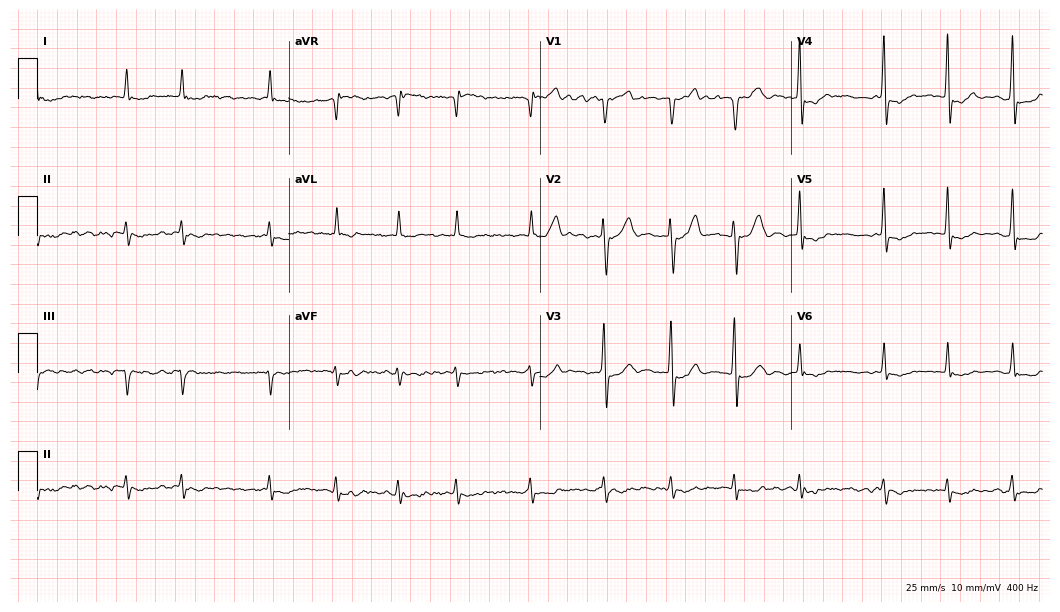
Standard 12-lead ECG recorded from a male patient, 74 years old. The tracing shows atrial fibrillation.